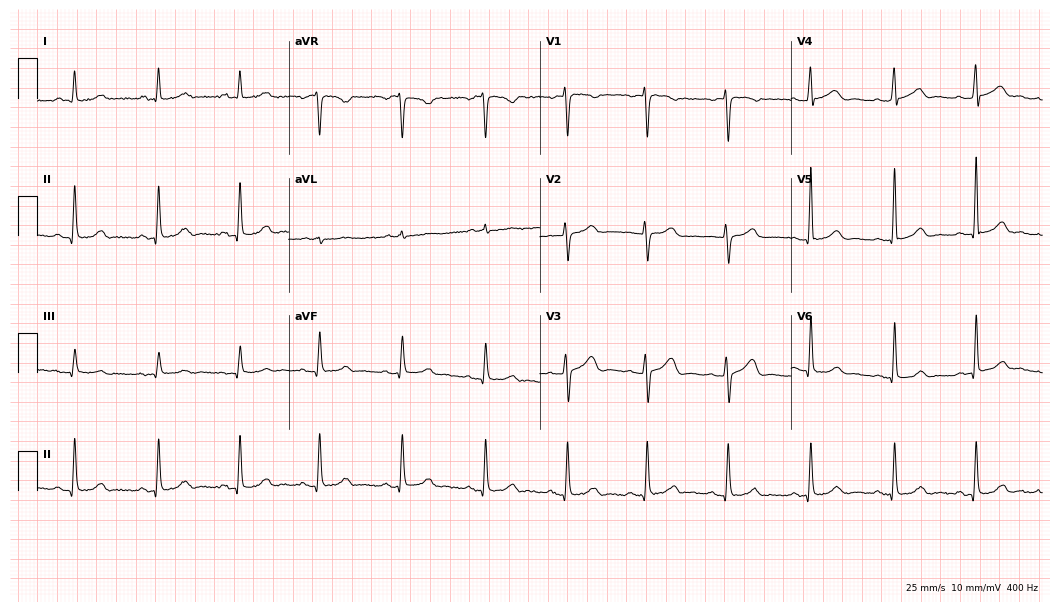
ECG — a female patient, 46 years old. Labelled as a normal ECG.